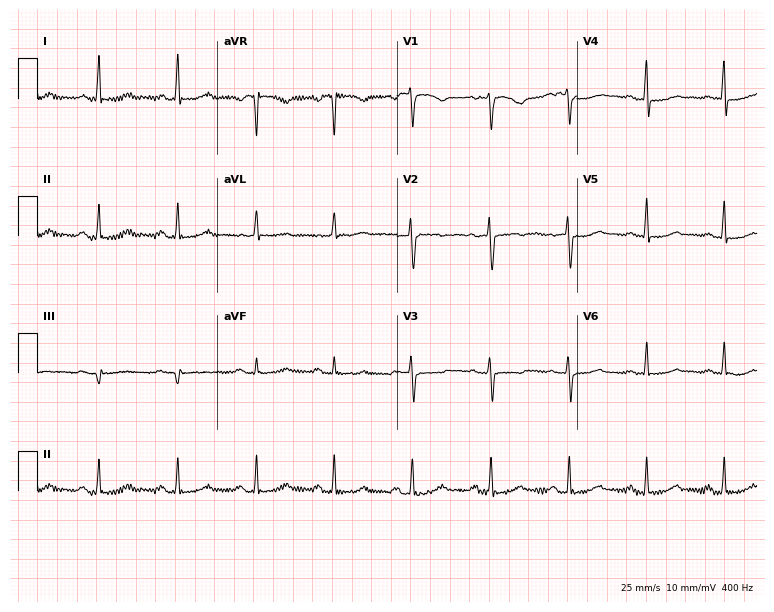
ECG (7.3-second recording at 400 Hz) — a 44-year-old woman. Screened for six findings — first-degree AV block, right bundle branch block, left bundle branch block, sinus bradycardia, atrial fibrillation, sinus tachycardia — none is recorded. Findings outside these six are not listed.